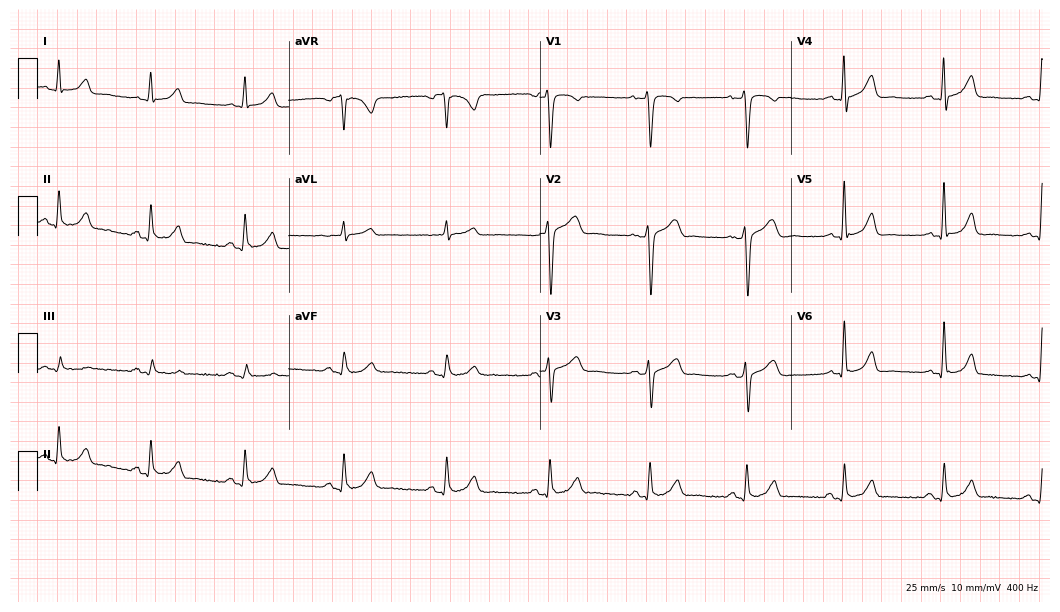
Resting 12-lead electrocardiogram. Patient: a male, 42 years old. None of these six findings is recorded: first-degree AV block, right bundle branch block, left bundle branch block, sinus bradycardia, atrial fibrillation, sinus tachycardia.